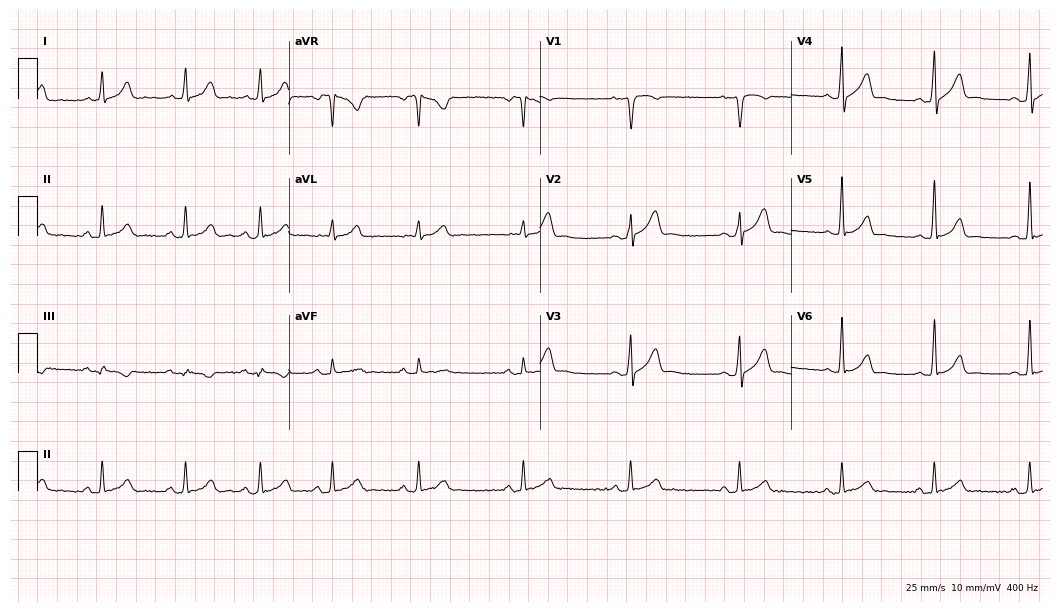
Electrocardiogram (10.2-second recording at 400 Hz), a 33-year-old male. Overall reading on record: normal ECG.